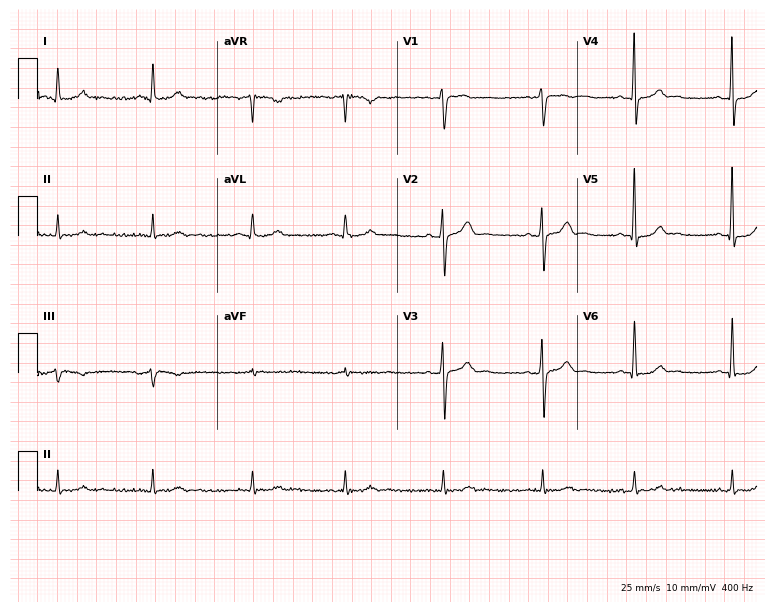
12-lead ECG from a man, 30 years old (7.3-second recording at 400 Hz). No first-degree AV block, right bundle branch block, left bundle branch block, sinus bradycardia, atrial fibrillation or sinus tachycardia recorded for this tracing. Other findings, if any, are not listed.